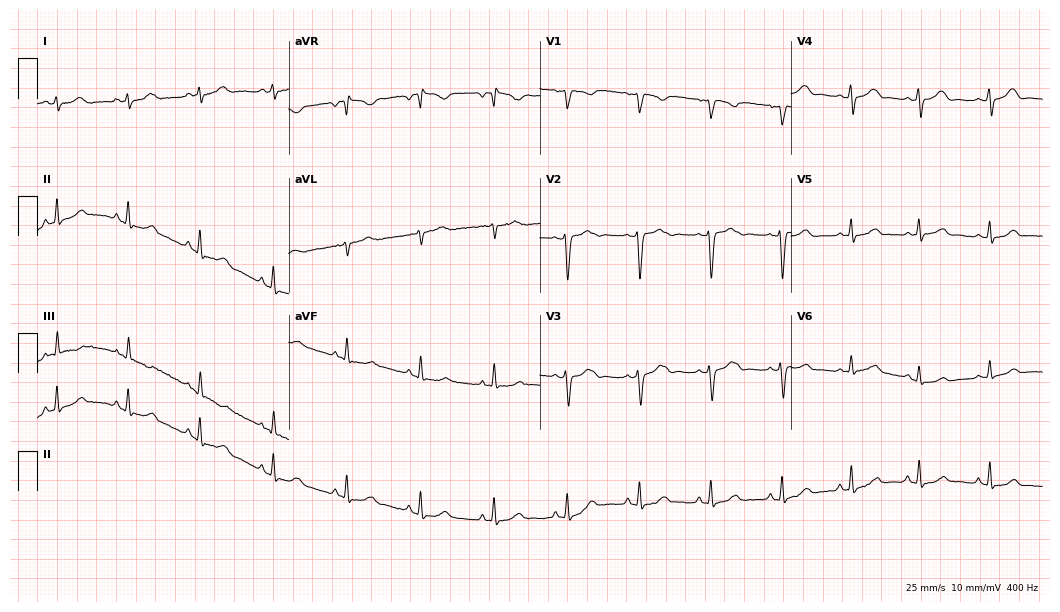
Electrocardiogram, a 31-year-old female patient. Overall reading on record: normal ECG.